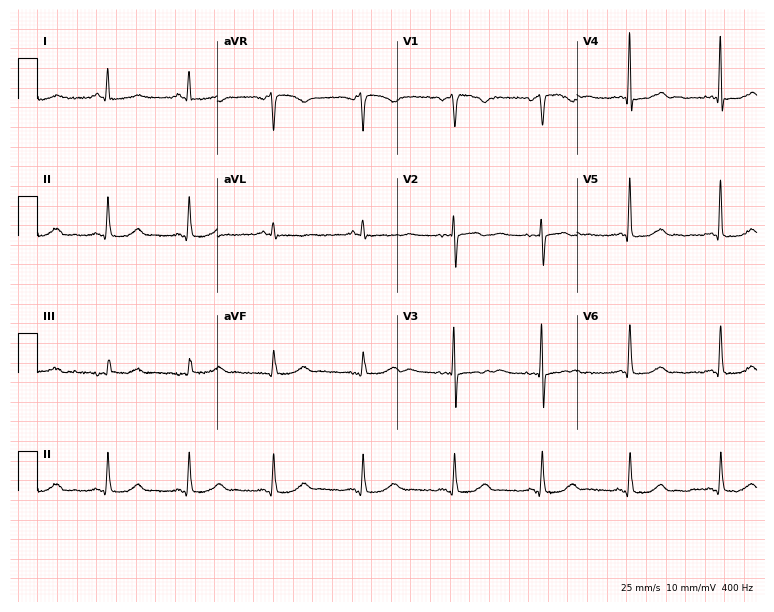
Resting 12-lead electrocardiogram. Patient: a female, 62 years old. Read as a normal ECG.